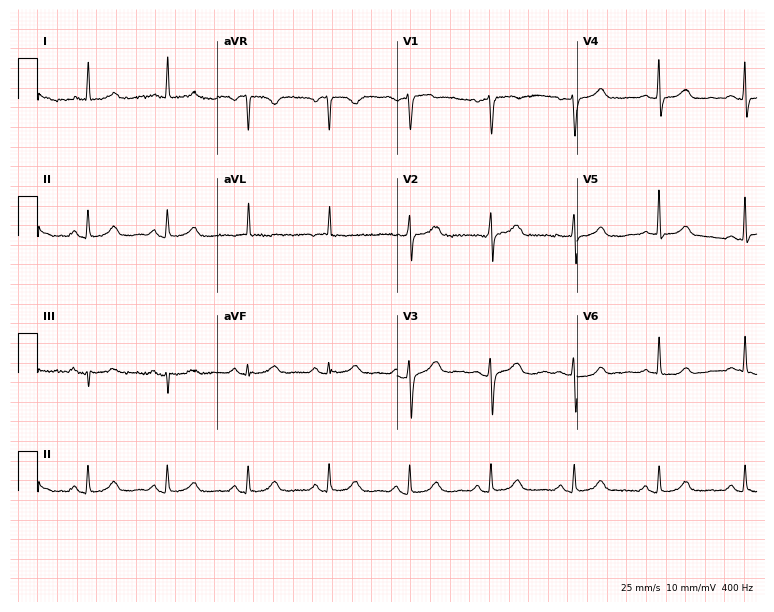
Electrocardiogram, a 75-year-old female patient. Overall reading on record: normal ECG.